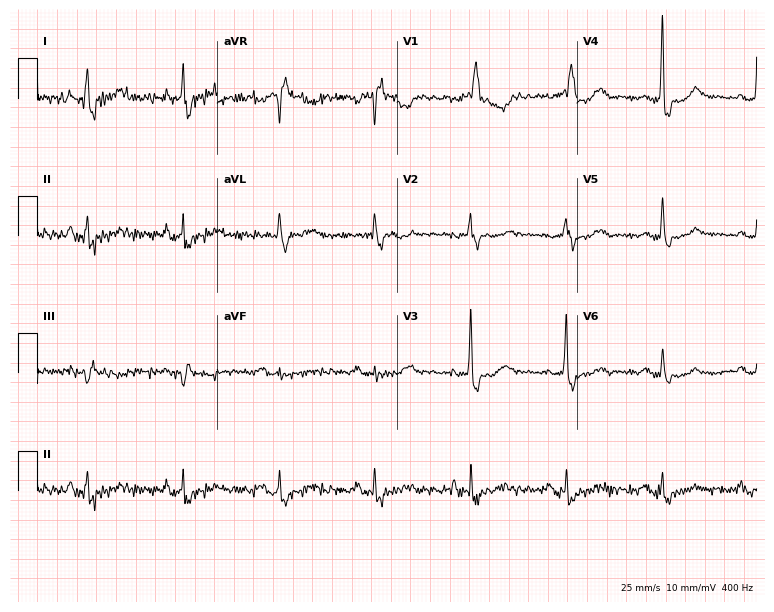
12-lead ECG from a 64-year-old female. Findings include right bundle branch block.